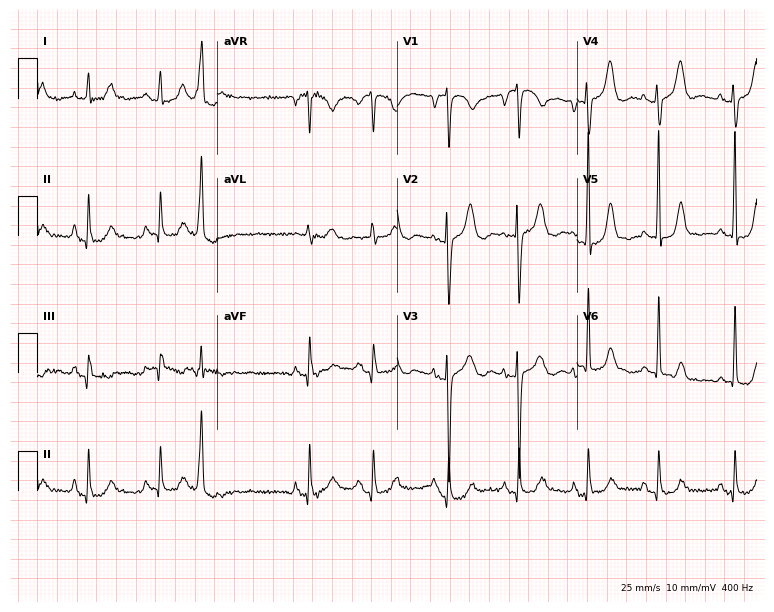
Electrocardiogram, an 83-year-old female. Of the six screened findings (first-degree AV block, right bundle branch block (RBBB), left bundle branch block (LBBB), sinus bradycardia, atrial fibrillation (AF), sinus tachycardia), none is recorded.